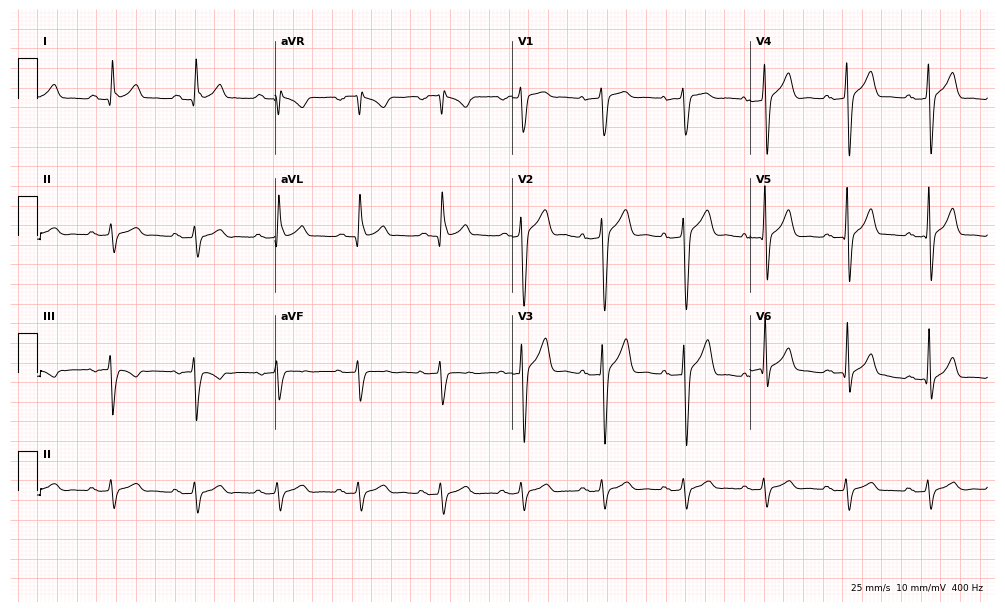
Electrocardiogram, a male, 59 years old. Of the six screened findings (first-degree AV block, right bundle branch block (RBBB), left bundle branch block (LBBB), sinus bradycardia, atrial fibrillation (AF), sinus tachycardia), none is recorded. Only these six findings were labelled.